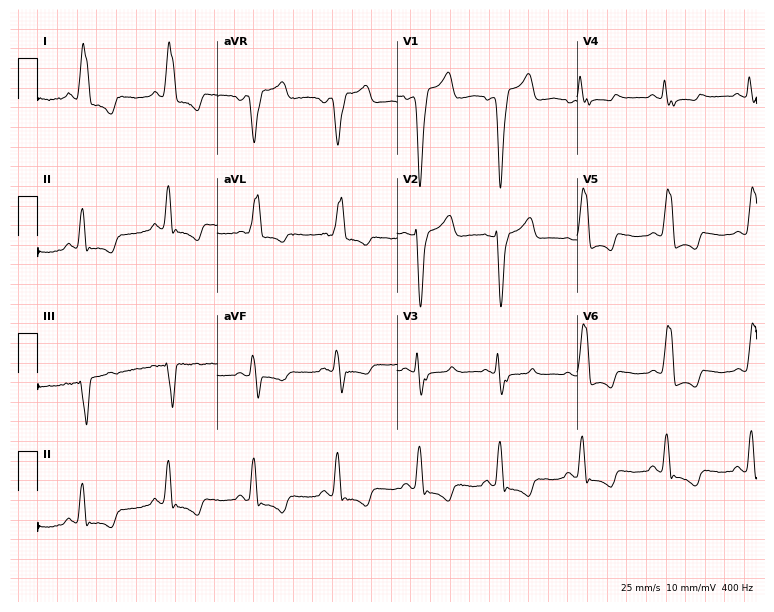
Electrocardiogram (7.3-second recording at 400 Hz), a female, 63 years old. Interpretation includes left bundle branch block (LBBB).